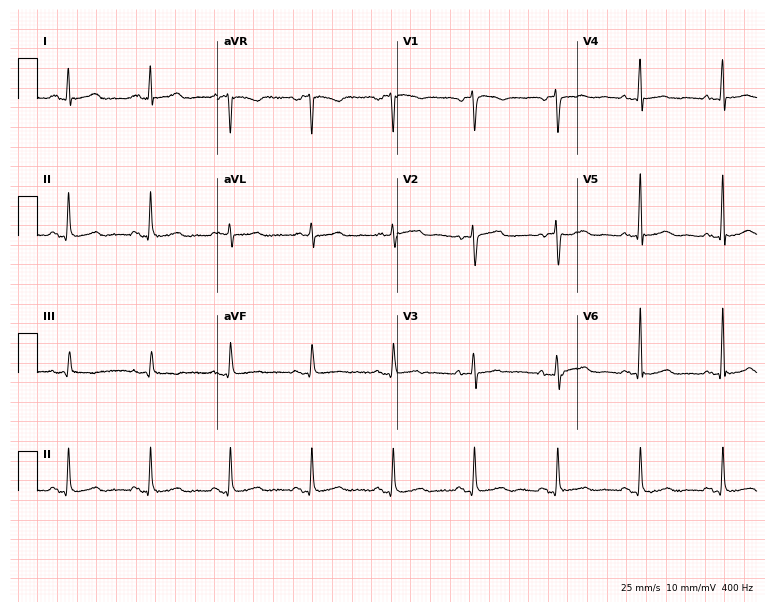
12-lead ECG from a woman, 54 years old. Recorded interpretation: within normal limits.